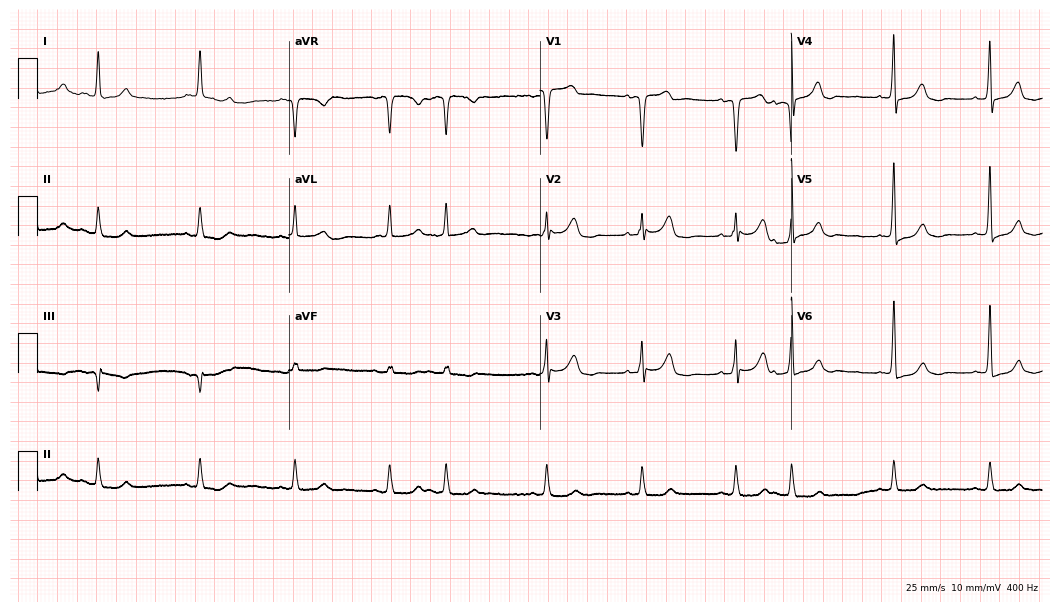
Standard 12-lead ECG recorded from an 84-year-old female patient (10.2-second recording at 400 Hz). None of these six findings is recorded: first-degree AV block, right bundle branch block (RBBB), left bundle branch block (LBBB), sinus bradycardia, atrial fibrillation (AF), sinus tachycardia. Other findings, if any, are not listed.